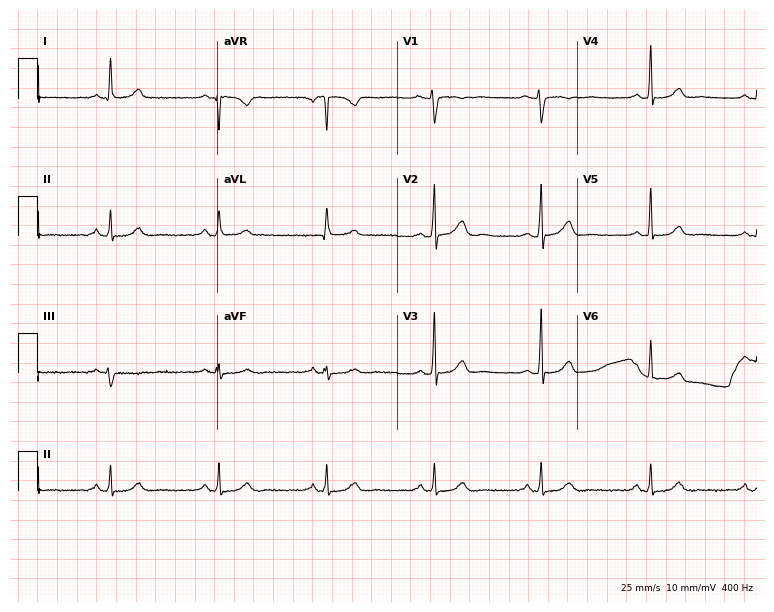
Resting 12-lead electrocardiogram (7.3-second recording at 400 Hz). Patient: a female, 61 years old. None of these six findings is recorded: first-degree AV block, right bundle branch block, left bundle branch block, sinus bradycardia, atrial fibrillation, sinus tachycardia.